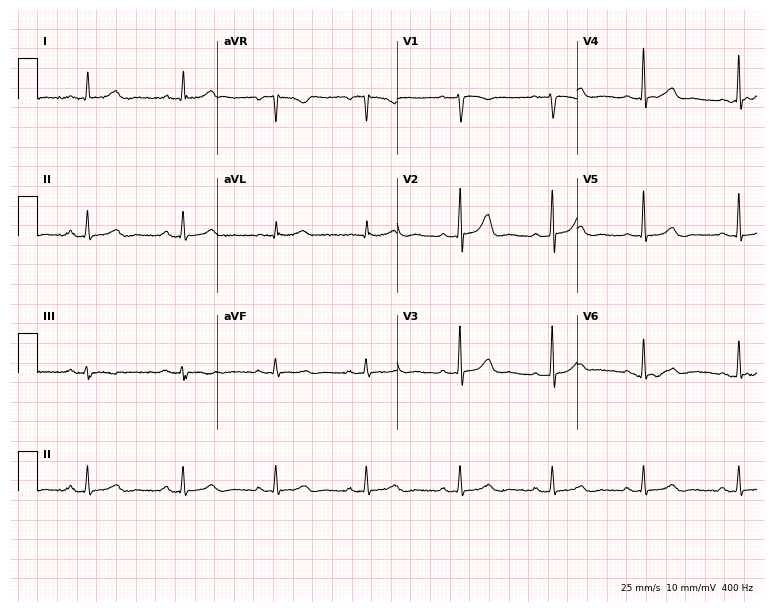
Standard 12-lead ECG recorded from a 50-year-old female (7.3-second recording at 400 Hz). Read as a normal ECG.